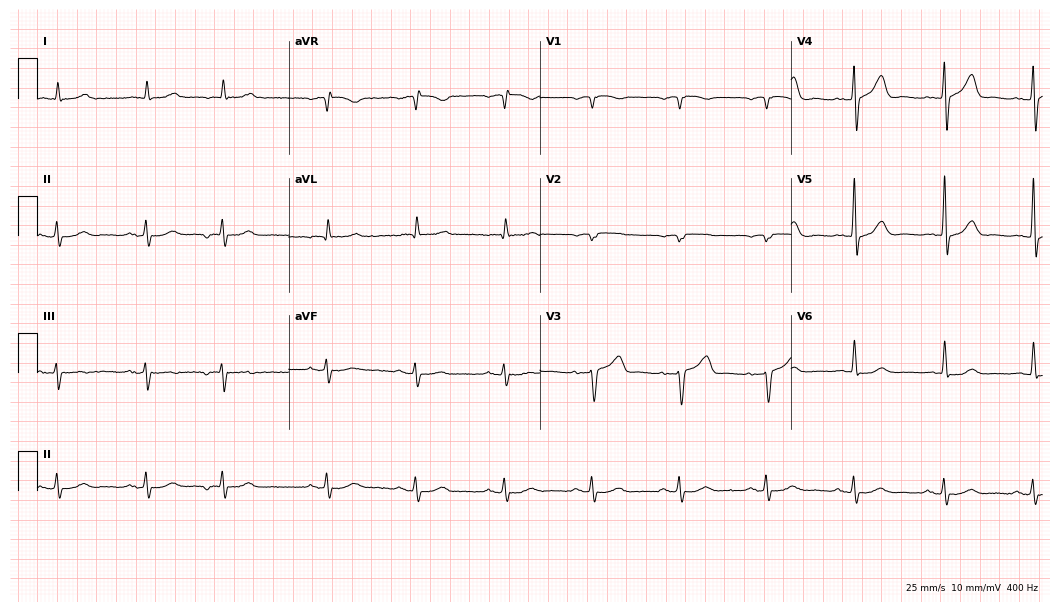
Electrocardiogram (10.2-second recording at 400 Hz), an 80-year-old male patient. Of the six screened findings (first-degree AV block, right bundle branch block, left bundle branch block, sinus bradycardia, atrial fibrillation, sinus tachycardia), none is recorded.